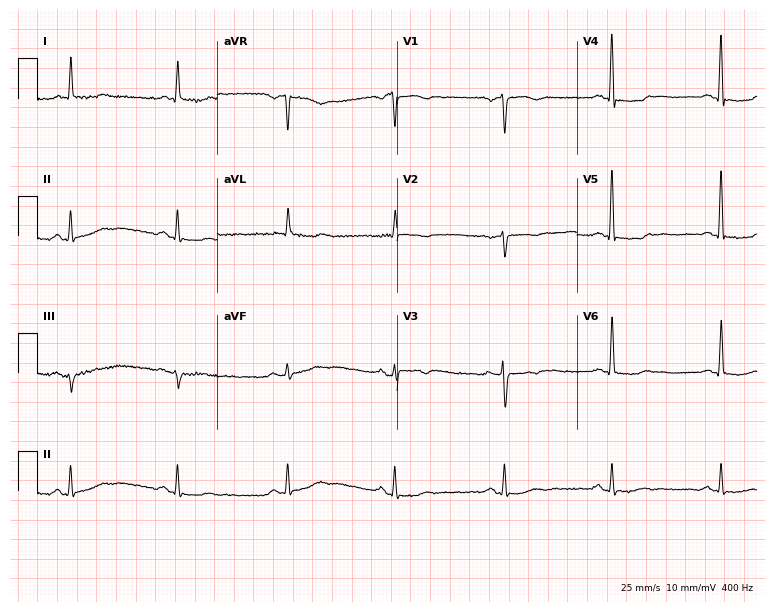
ECG — a 71-year-old woman. Screened for six findings — first-degree AV block, right bundle branch block, left bundle branch block, sinus bradycardia, atrial fibrillation, sinus tachycardia — none is recorded. Other findings, if any, are not listed.